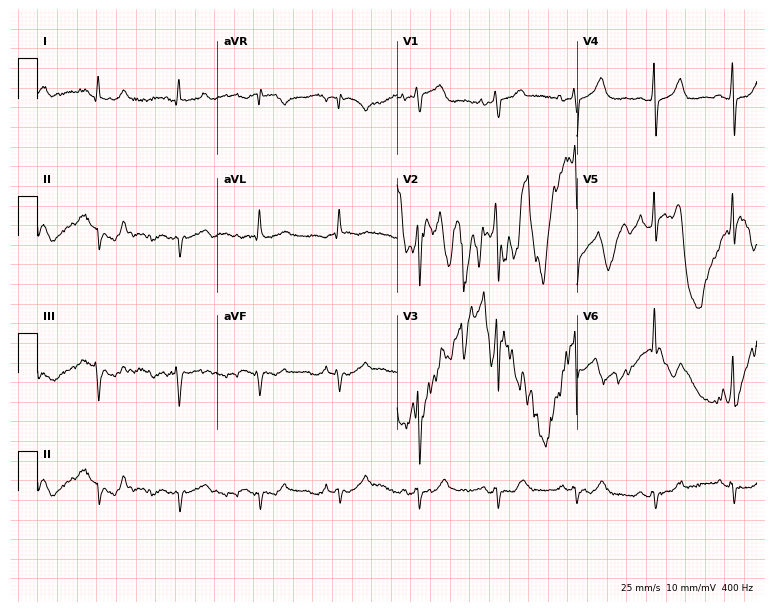
12-lead ECG from a 58-year-old male (7.3-second recording at 400 Hz). No first-degree AV block, right bundle branch block, left bundle branch block, sinus bradycardia, atrial fibrillation or sinus tachycardia recorded for this tracing. Only these six findings were labelled.